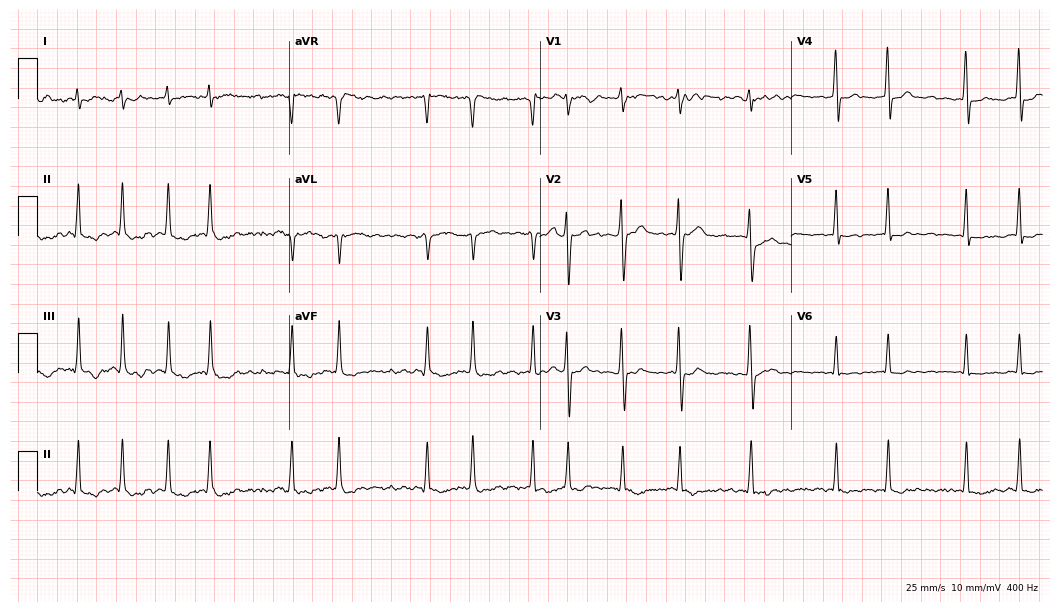
Electrocardiogram (10.2-second recording at 400 Hz), a 63-year-old female. Interpretation includes atrial fibrillation.